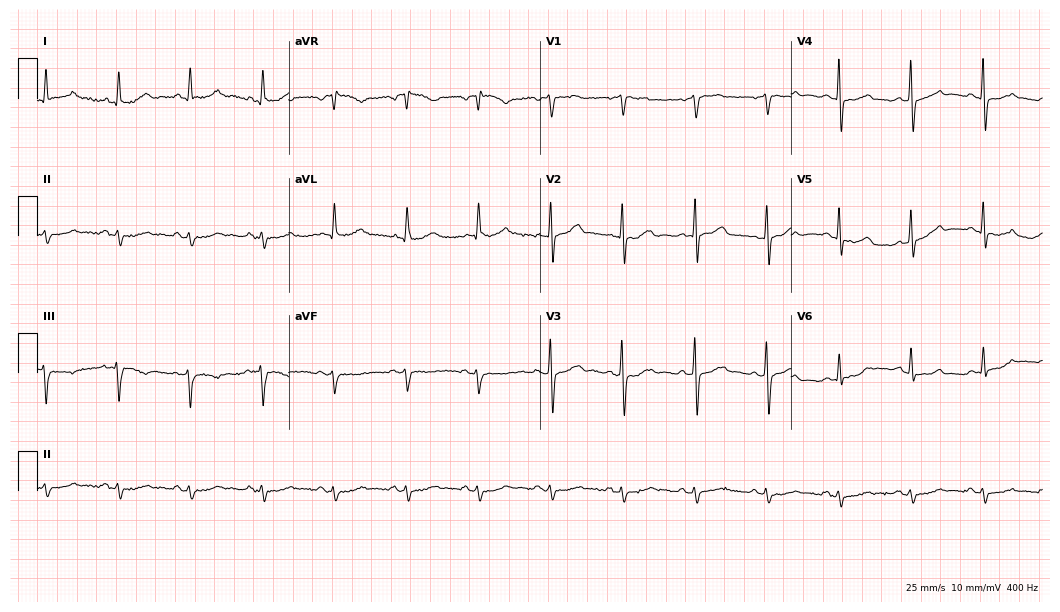
Electrocardiogram (10.2-second recording at 400 Hz), an 80-year-old female patient. Of the six screened findings (first-degree AV block, right bundle branch block, left bundle branch block, sinus bradycardia, atrial fibrillation, sinus tachycardia), none is recorded.